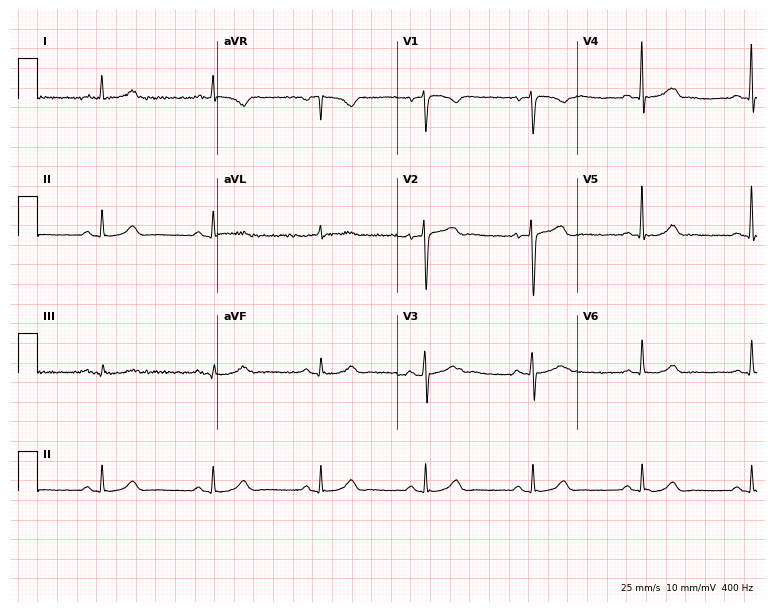
Resting 12-lead electrocardiogram. Patient: a male, 40 years old. None of these six findings is recorded: first-degree AV block, right bundle branch block, left bundle branch block, sinus bradycardia, atrial fibrillation, sinus tachycardia.